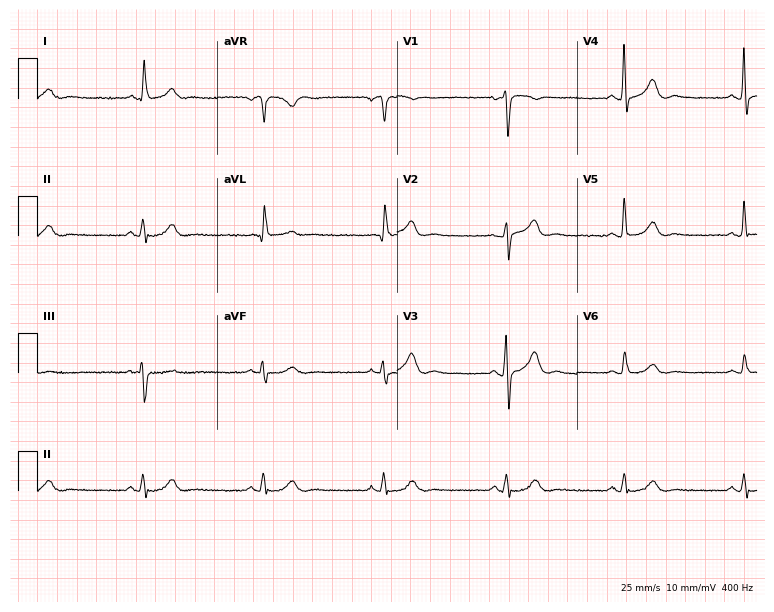
Resting 12-lead electrocardiogram. Patient: a 67-year-old woman. The tracing shows sinus bradycardia (a sinus rate of 50 beats per minute or less).